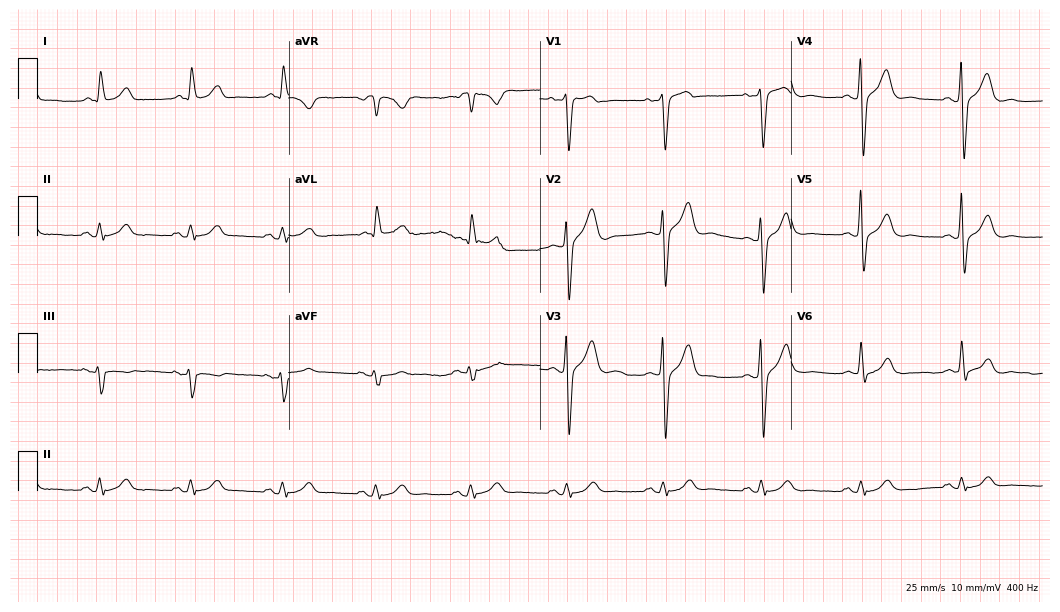
12-lead ECG from a 58-year-old male patient (10.2-second recording at 400 Hz). No first-degree AV block, right bundle branch block (RBBB), left bundle branch block (LBBB), sinus bradycardia, atrial fibrillation (AF) or sinus tachycardia recorded for this tracing. Findings outside these six are not listed.